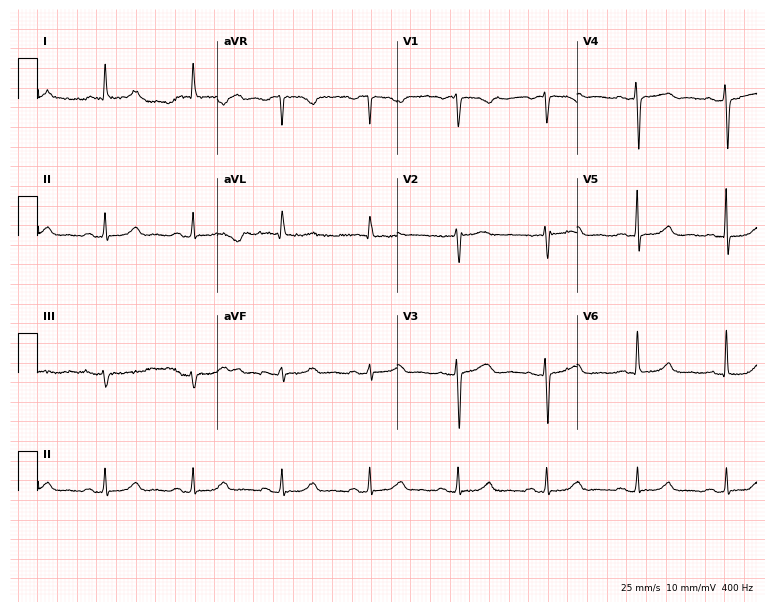
12-lead ECG (7.3-second recording at 400 Hz) from a female patient, 63 years old. Labelled as a normal ECG.